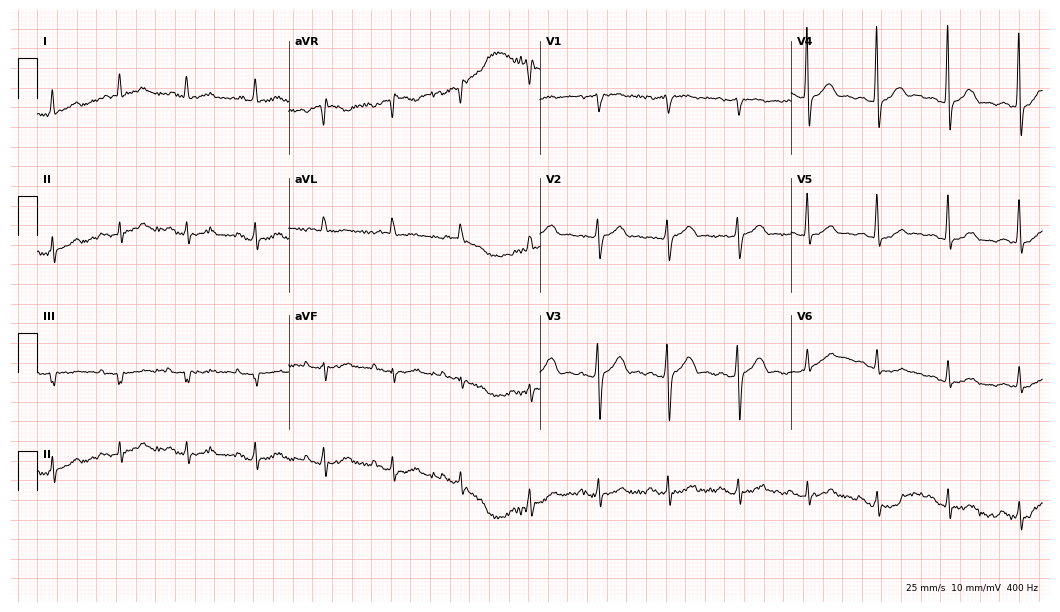
Resting 12-lead electrocardiogram. Patient: an 85-year-old woman. Read as a normal ECG.